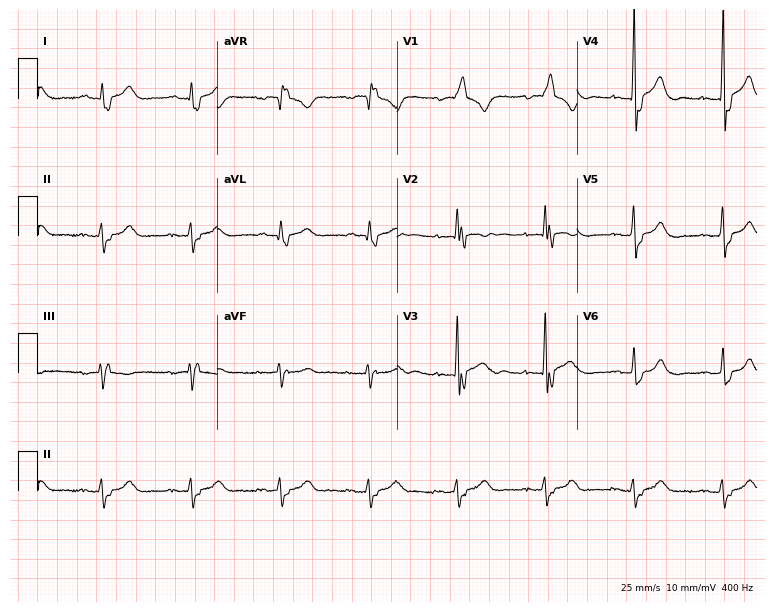
Resting 12-lead electrocardiogram. Patient: a 57-year-old male. The tracing shows right bundle branch block (RBBB).